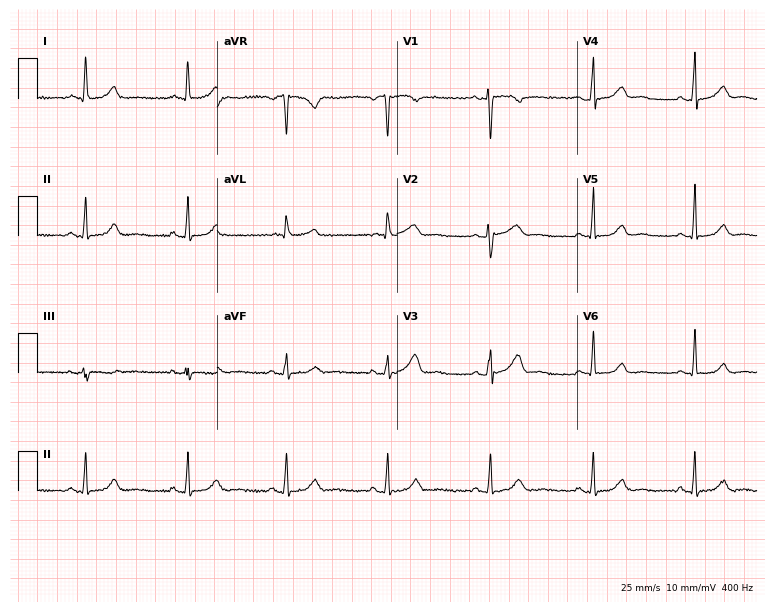
12-lead ECG from a female, 44 years old. No first-degree AV block, right bundle branch block (RBBB), left bundle branch block (LBBB), sinus bradycardia, atrial fibrillation (AF) or sinus tachycardia recorded for this tracing. Findings outside these six are not listed.